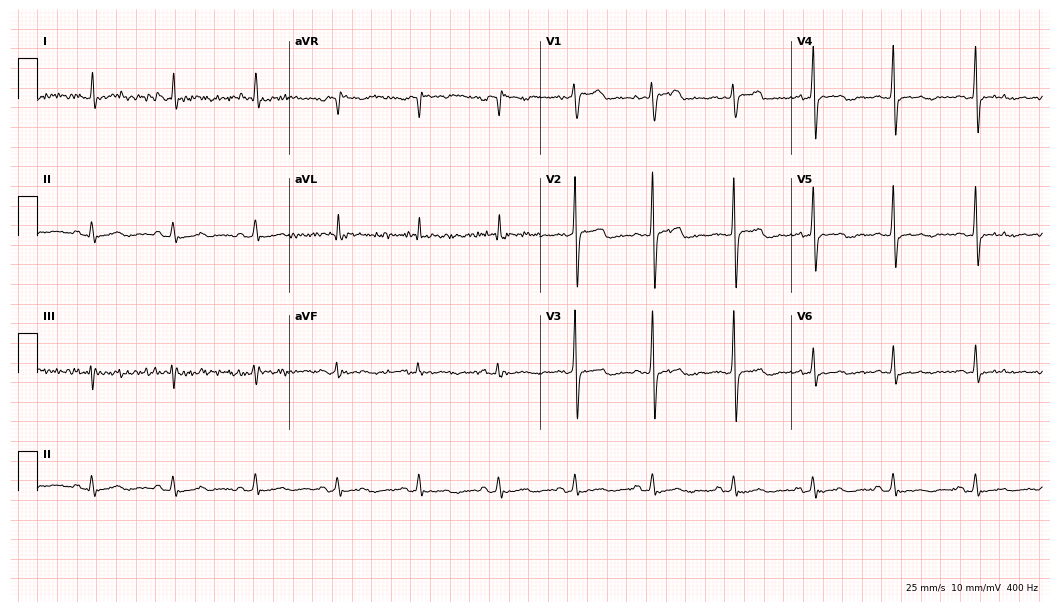
12-lead ECG from a male patient, 59 years old. No first-degree AV block, right bundle branch block, left bundle branch block, sinus bradycardia, atrial fibrillation or sinus tachycardia recorded for this tracing.